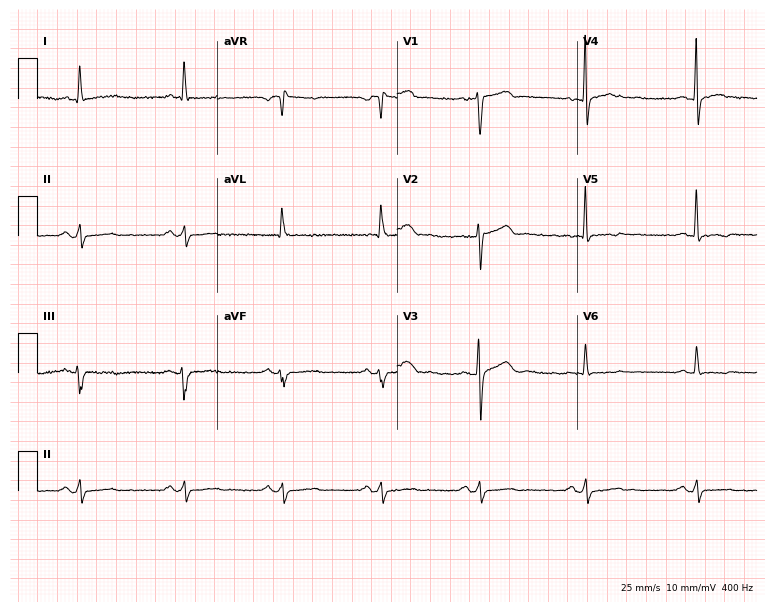
ECG (7.3-second recording at 400 Hz) — a man, 56 years old. Screened for six findings — first-degree AV block, right bundle branch block, left bundle branch block, sinus bradycardia, atrial fibrillation, sinus tachycardia — none is recorded. Only these six findings were labelled.